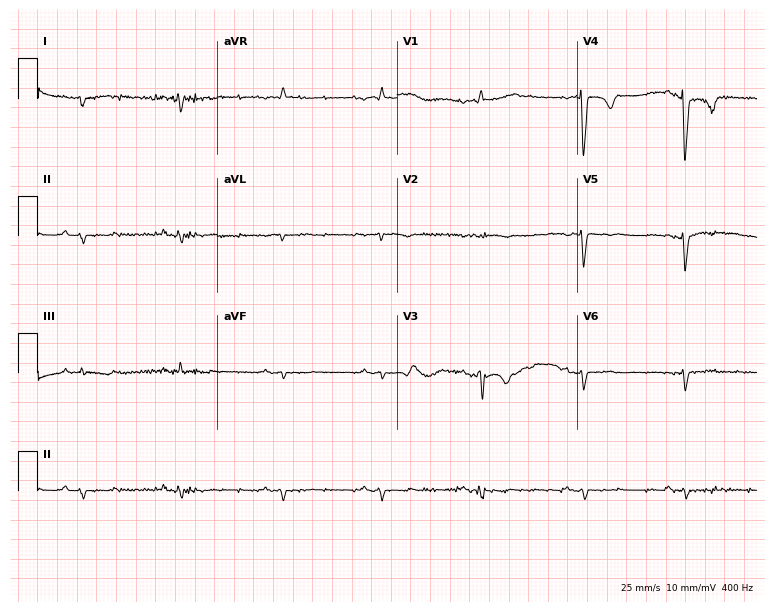
Standard 12-lead ECG recorded from a 65-year-old male. None of these six findings is recorded: first-degree AV block, right bundle branch block (RBBB), left bundle branch block (LBBB), sinus bradycardia, atrial fibrillation (AF), sinus tachycardia.